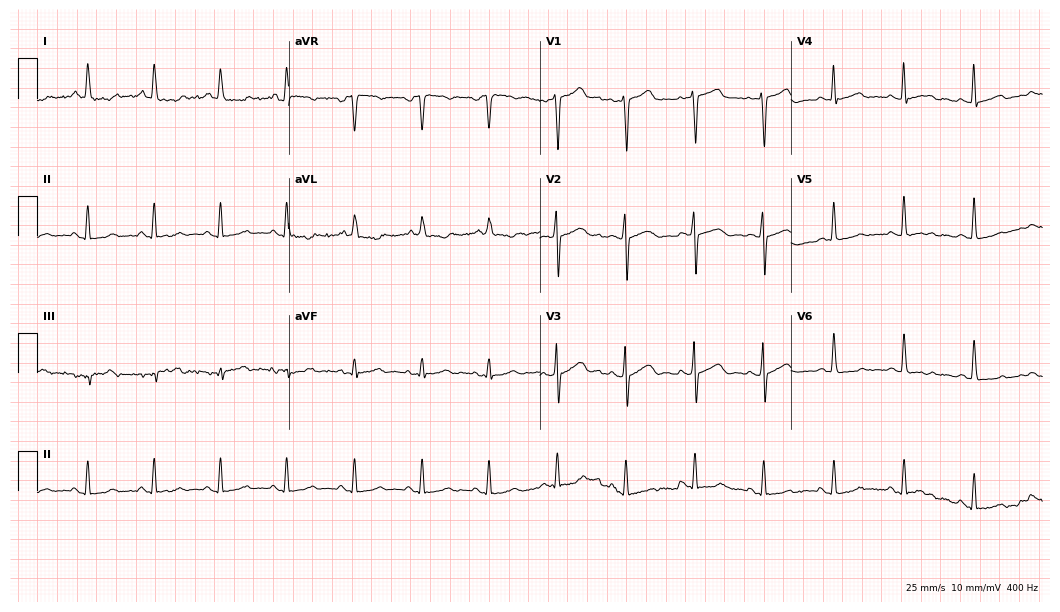
Standard 12-lead ECG recorded from a man, 47 years old (10.2-second recording at 400 Hz). None of these six findings is recorded: first-degree AV block, right bundle branch block (RBBB), left bundle branch block (LBBB), sinus bradycardia, atrial fibrillation (AF), sinus tachycardia. Other findings, if any, are not listed.